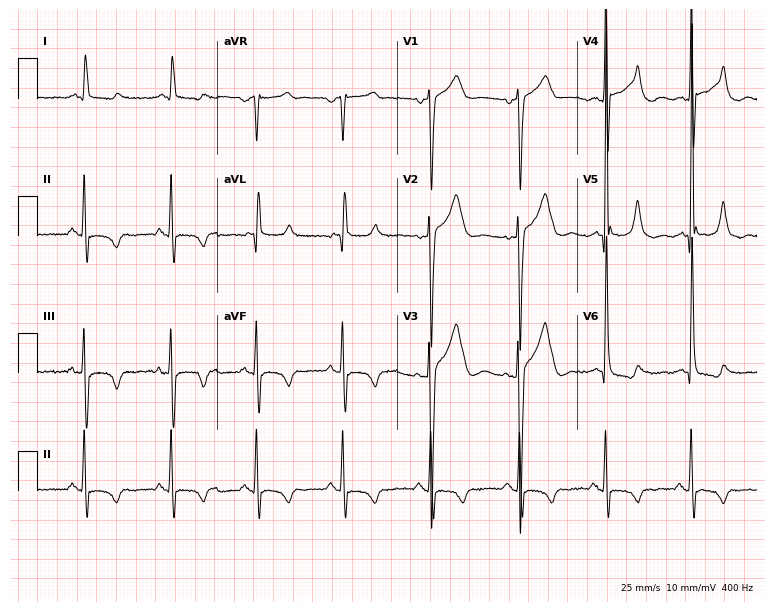
ECG (7.3-second recording at 400 Hz) — a 67-year-old male. Labelled as a normal ECG.